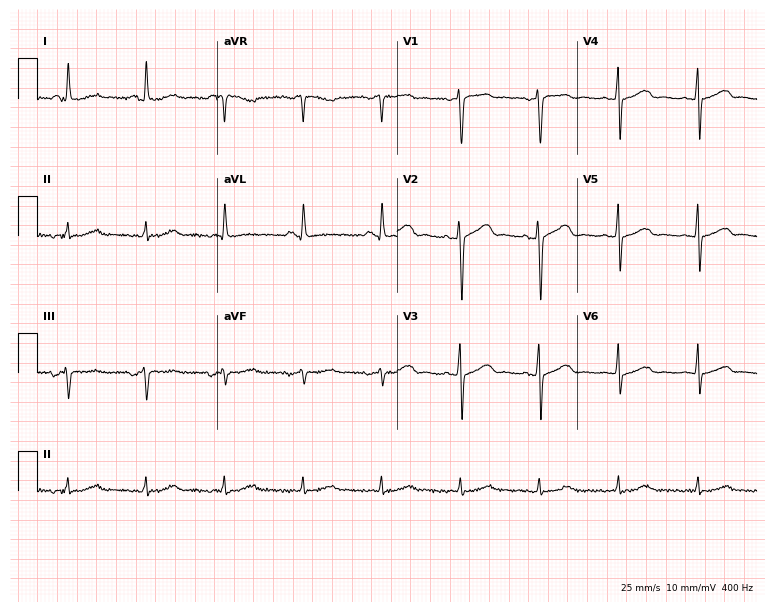
Electrocardiogram (7.3-second recording at 400 Hz), a woman, 69 years old. Of the six screened findings (first-degree AV block, right bundle branch block (RBBB), left bundle branch block (LBBB), sinus bradycardia, atrial fibrillation (AF), sinus tachycardia), none is recorded. Findings outside these six are not listed.